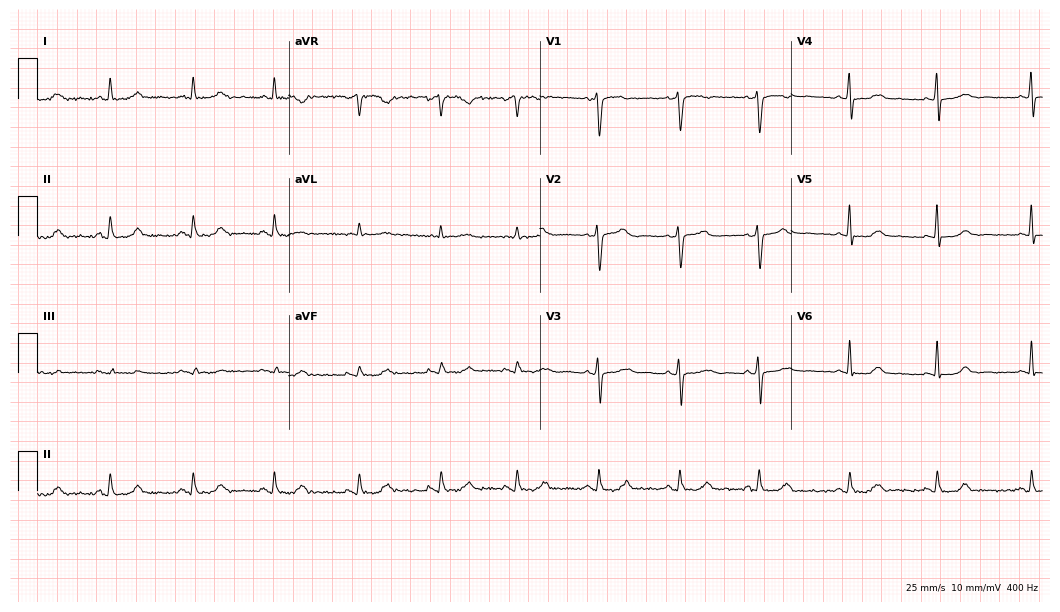
Resting 12-lead electrocardiogram (10.2-second recording at 400 Hz). Patient: a woman, 48 years old. Read as a normal ECG.